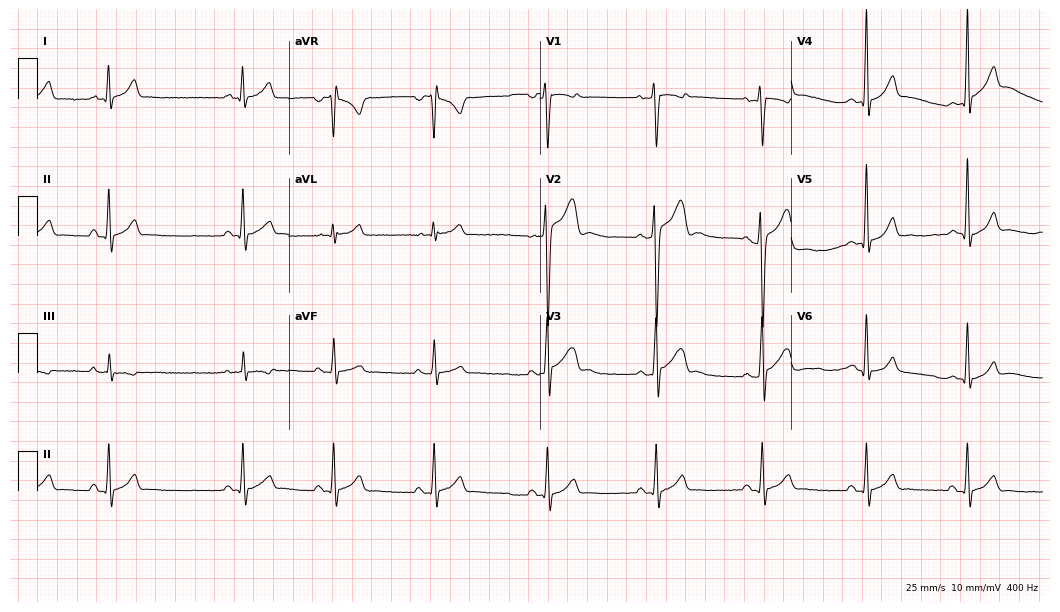
12-lead ECG from a male, 22 years old. Screened for six findings — first-degree AV block, right bundle branch block, left bundle branch block, sinus bradycardia, atrial fibrillation, sinus tachycardia — none is recorded.